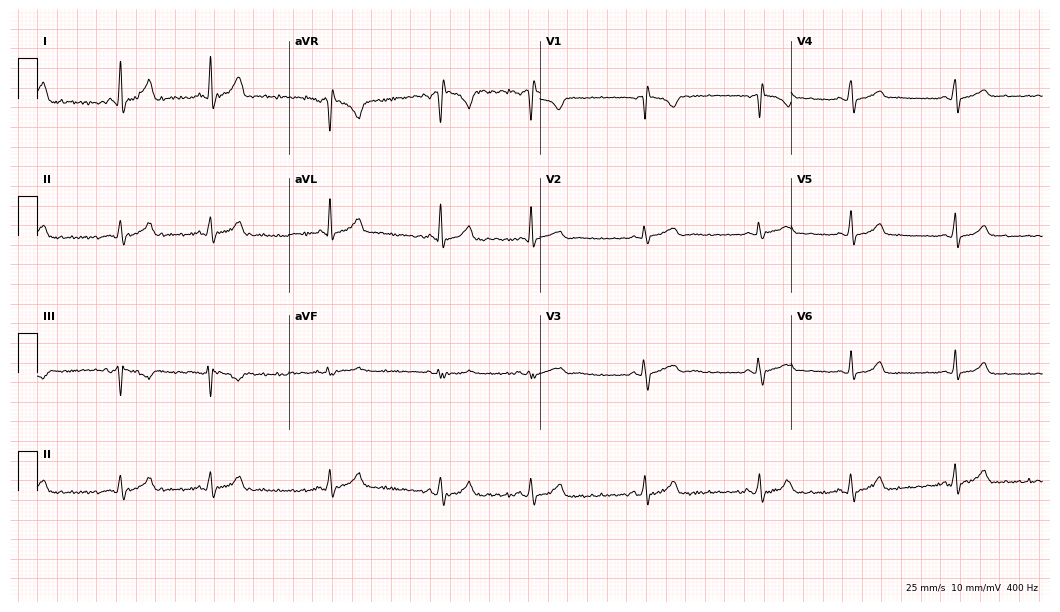
Resting 12-lead electrocardiogram (10.2-second recording at 400 Hz). Patient: a female, 20 years old. Read as a normal ECG.